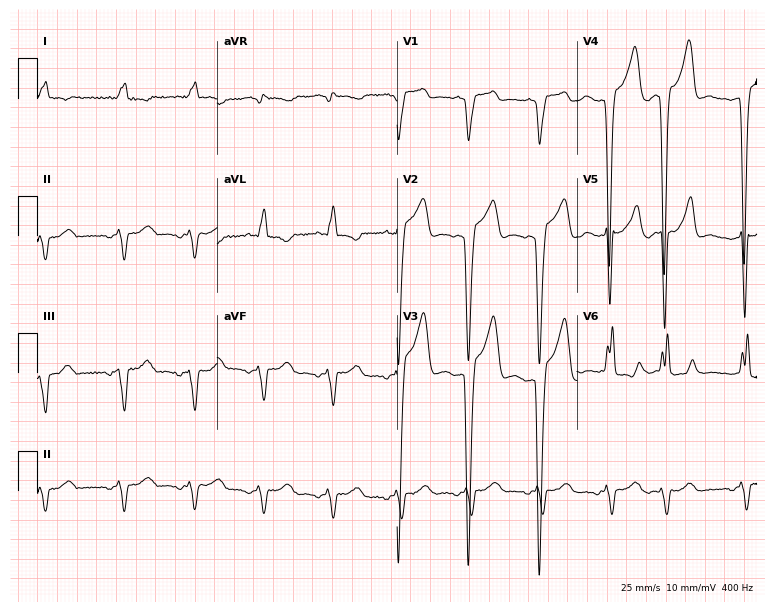
12-lead ECG from an 85-year-old woman (7.3-second recording at 400 Hz). Shows left bundle branch block.